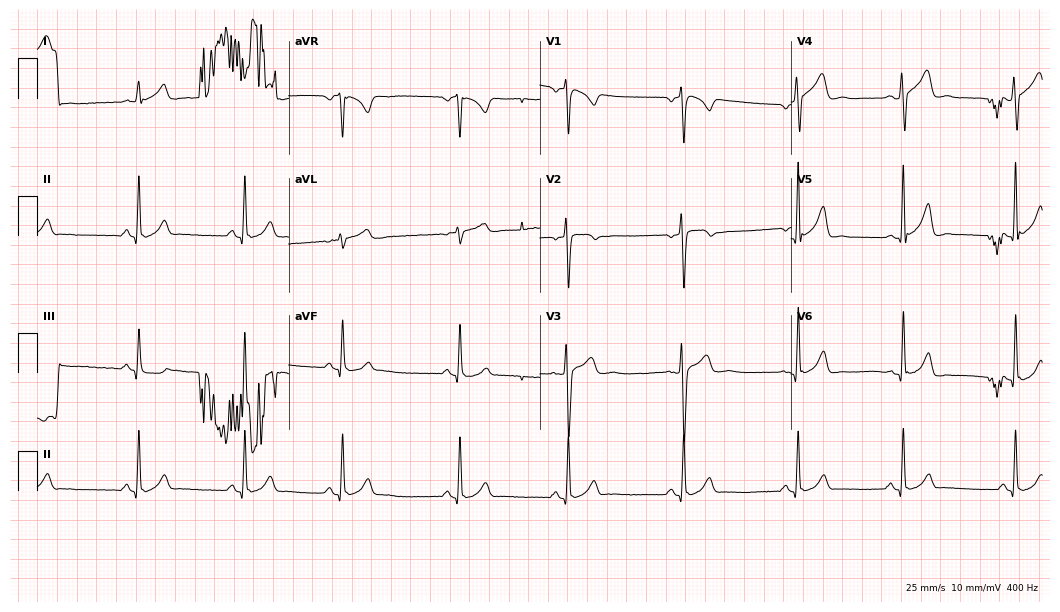
Resting 12-lead electrocardiogram. Patient: a male, 24 years old. None of these six findings is recorded: first-degree AV block, right bundle branch block, left bundle branch block, sinus bradycardia, atrial fibrillation, sinus tachycardia. Only these six findings were labelled.